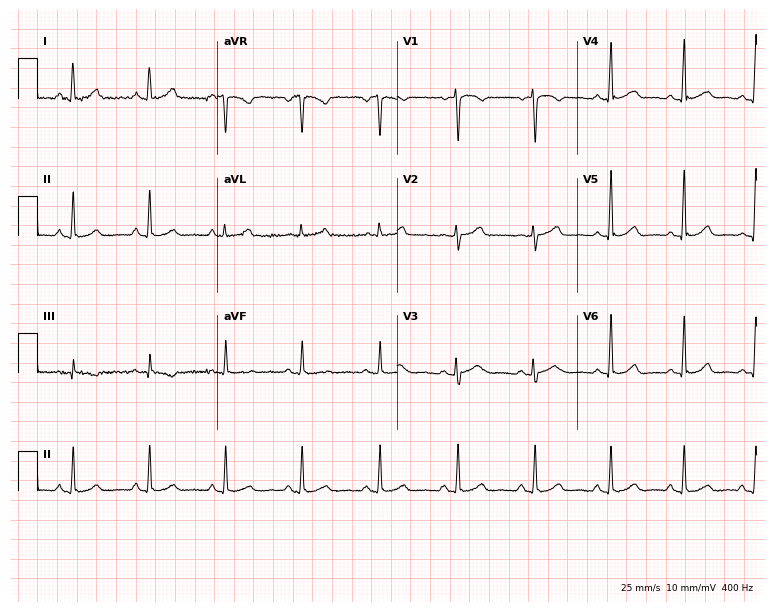
Electrocardiogram (7.3-second recording at 400 Hz), a female patient, 36 years old. Of the six screened findings (first-degree AV block, right bundle branch block, left bundle branch block, sinus bradycardia, atrial fibrillation, sinus tachycardia), none is recorded. Other findings, if any, are not listed.